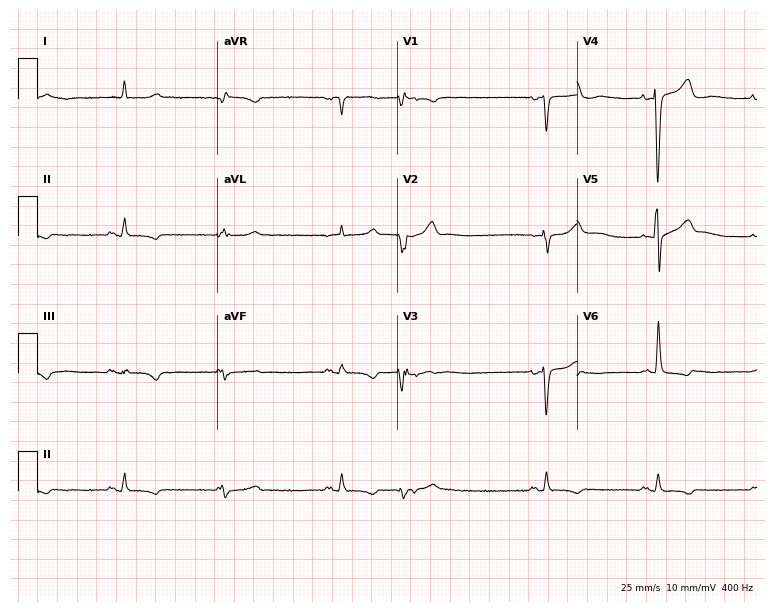
Electrocardiogram (7.3-second recording at 400 Hz), an 80-year-old woman. Of the six screened findings (first-degree AV block, right bundle branch block, left bundle branch block, sinus bradycardia, atrial fibrillation, sinus tachycardia), none is recorded. Findings outside these six are not listed.